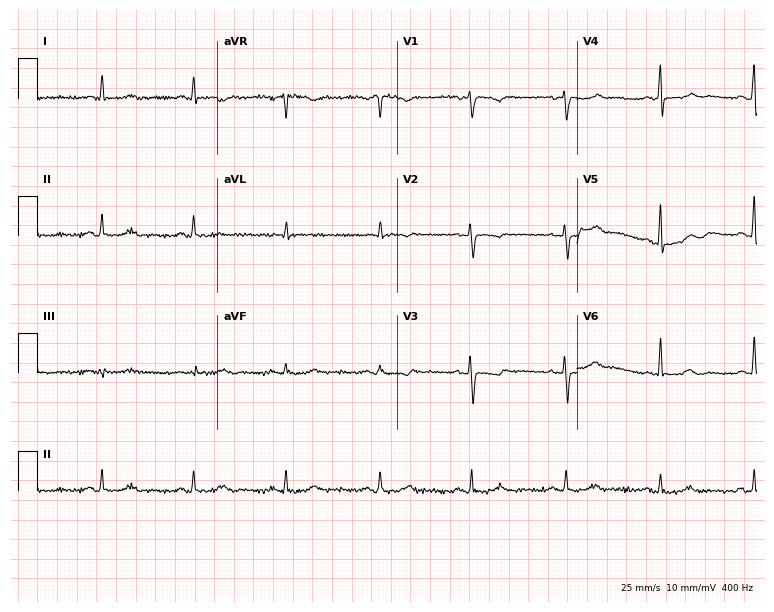
Standard 12-lead ECG recorded from a 59-year-old female. None of these six findings is recorded: first-degree AV block, right bundle branch block, left bundle branch block, sinus bradycardia, atrial fibrillation, sinus tachycardia. Findings outside these six are not listed.